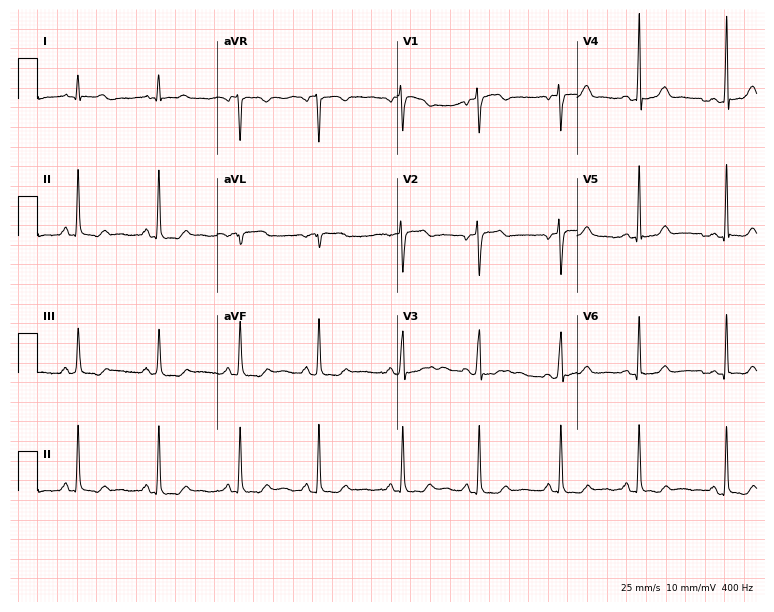
Resting 12-lead electrocardiogram (7.3-second recording at 400 Hz). Patient: a 26-year-old woman. Read as a normal ECG.